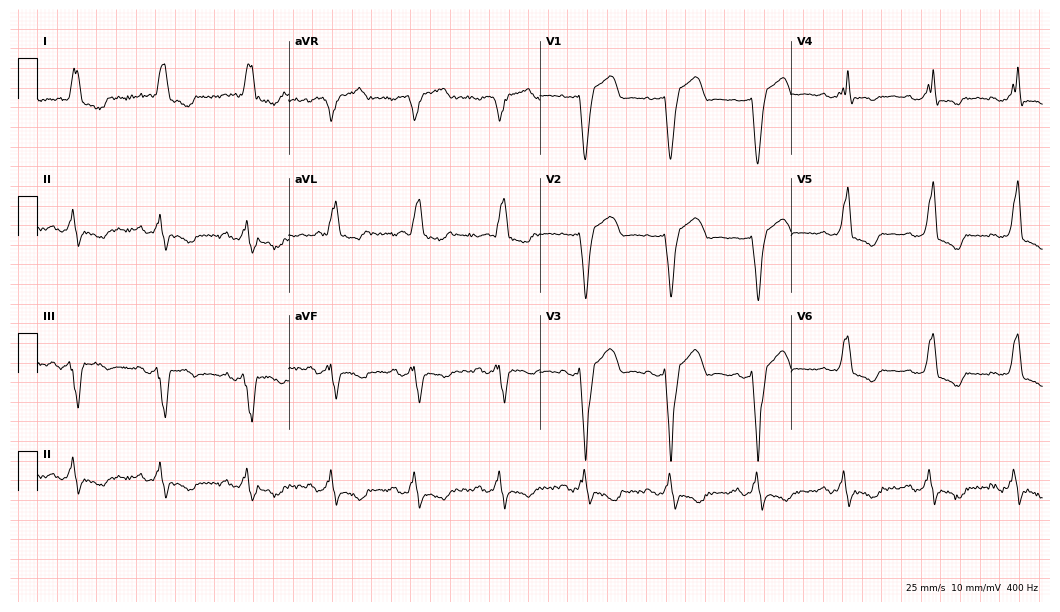
ECG — a female patient, 80 years old. Findings include left bundle branch block.